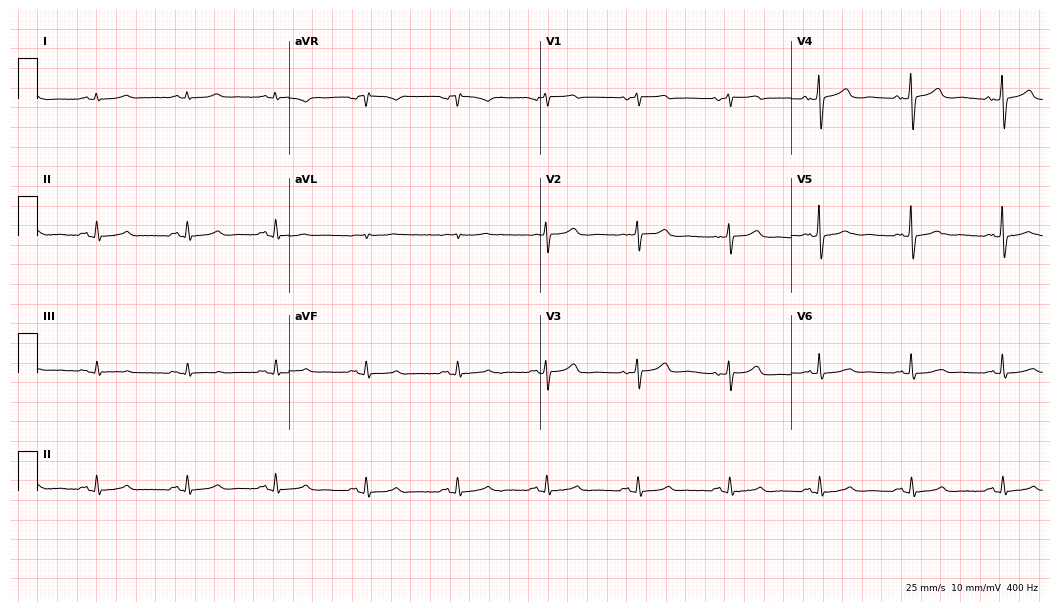
Standard 12-lead ECG recorded from a 66-year-old woman (10.2-second recording at 400 Hz). None of these six findings is recorded: first-degree AV block, right bundle branch block (RBBB), left bundle branch block (LBBB), sinus bradycardia, atrial fibrillation (AF), sinus tachycardia.